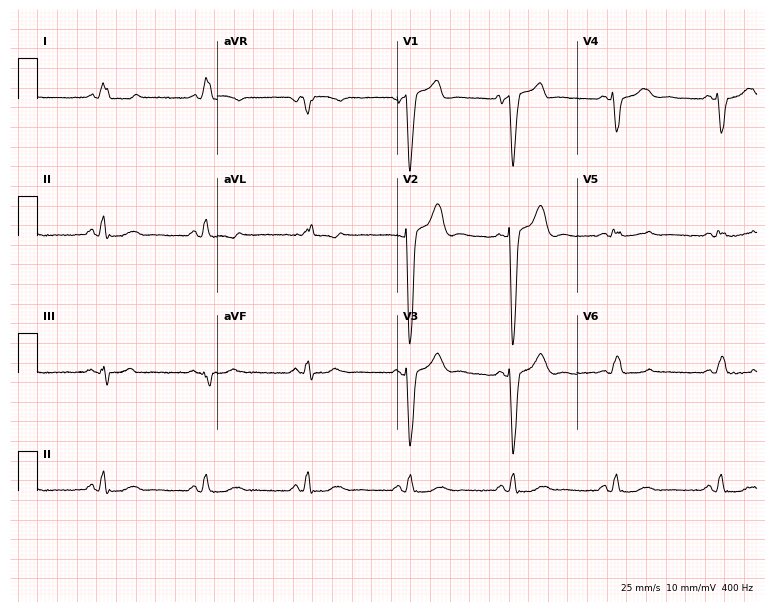
12-lead ECG from a man, 81 years old. Shows left bundle branch block.